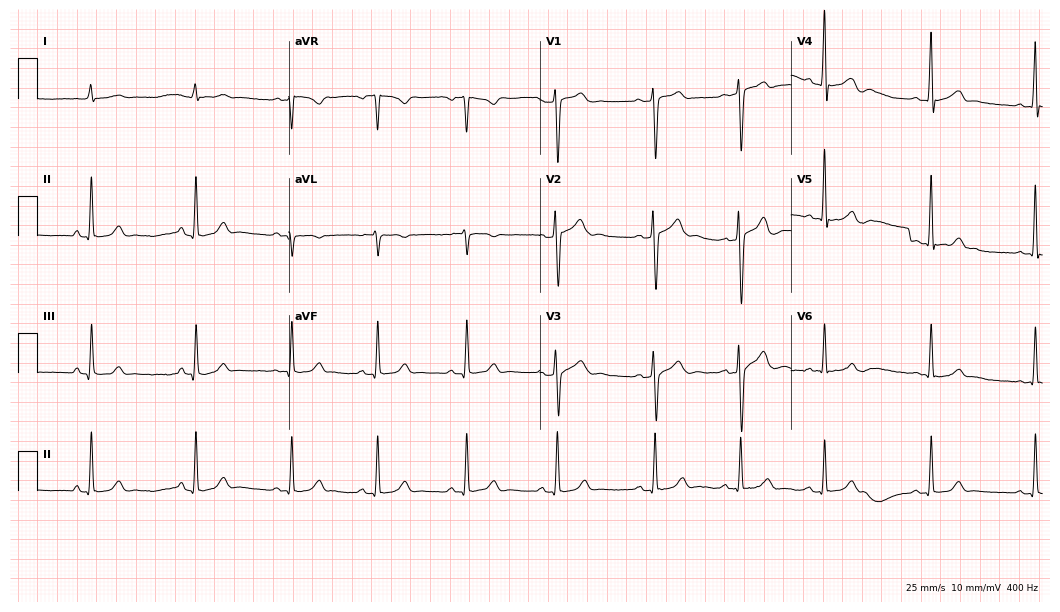
Electrocardiogram (10.2-second recording at 400 Hz), a 21-year-old man. Of the six screened findings (first-degree AV block, right bundle branch block, left bundle branch block, sinus bradycardia, atrial fibrillation, sinus tachycardia), none is recorded.